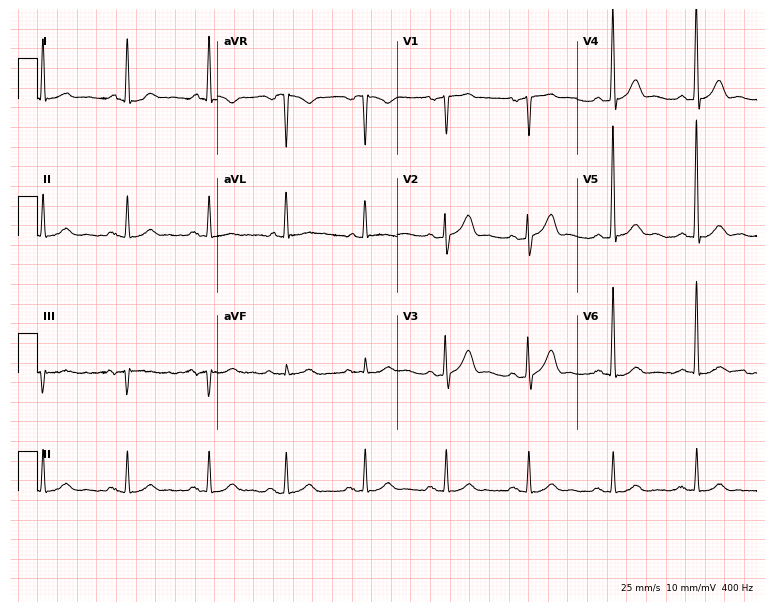
Electrocardiogram (7.3-second recording at 400 Hz), a male, 50 years old. Overall reading on record: normal ECG.